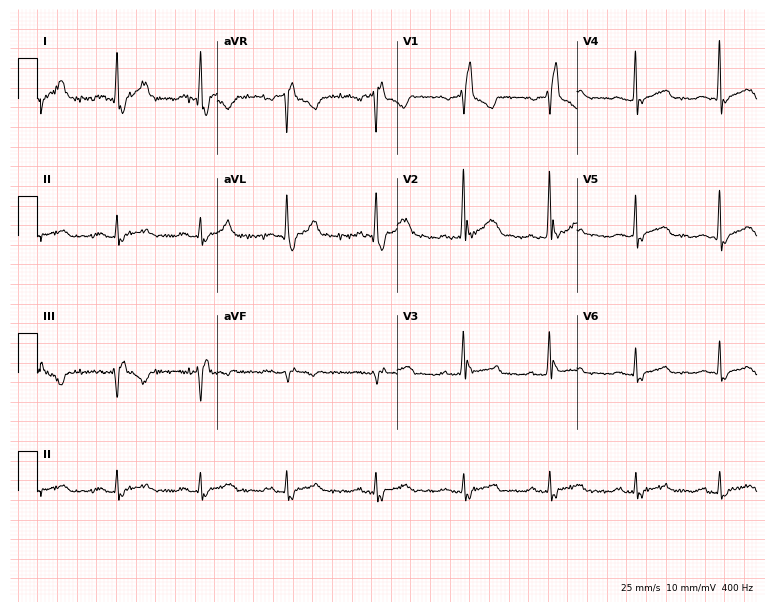
12-lead ECG from a male patient, 45 years old. Shows right bundle branch block (RBBB).